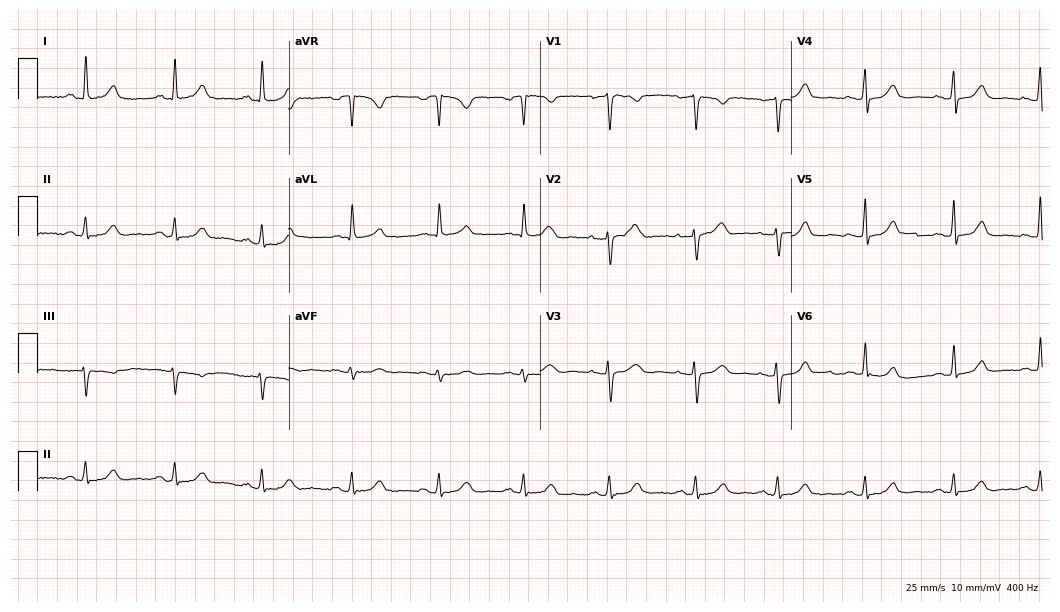
Resting 12-lead electrocardiogram. Patient: a female, 46 years old. Read as a normal ECG.